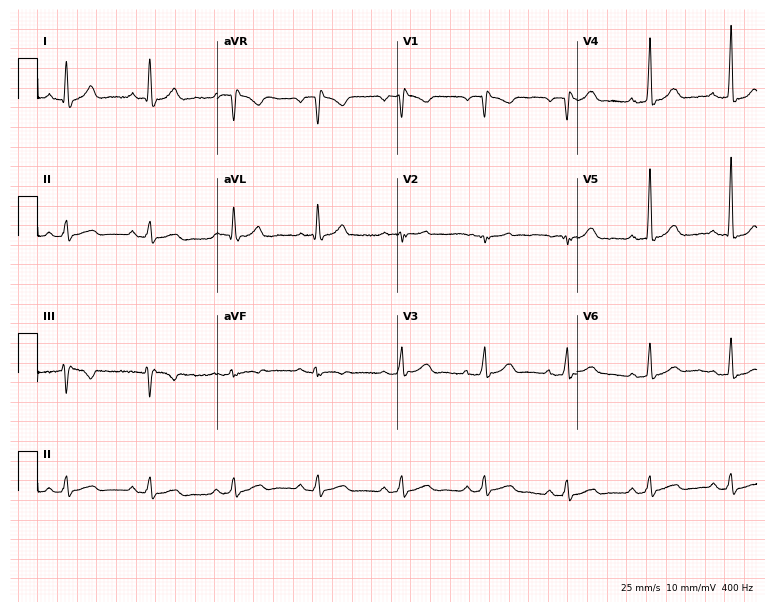
ECG — a male patient, 56 years old. Screened for six findings — first-degree AV block, right bundle branch block, left bundle branch block, sinus bradycardia, atrial fibrillation, sinus tachycardia — none is recorded. Findings outside these six are not listed.